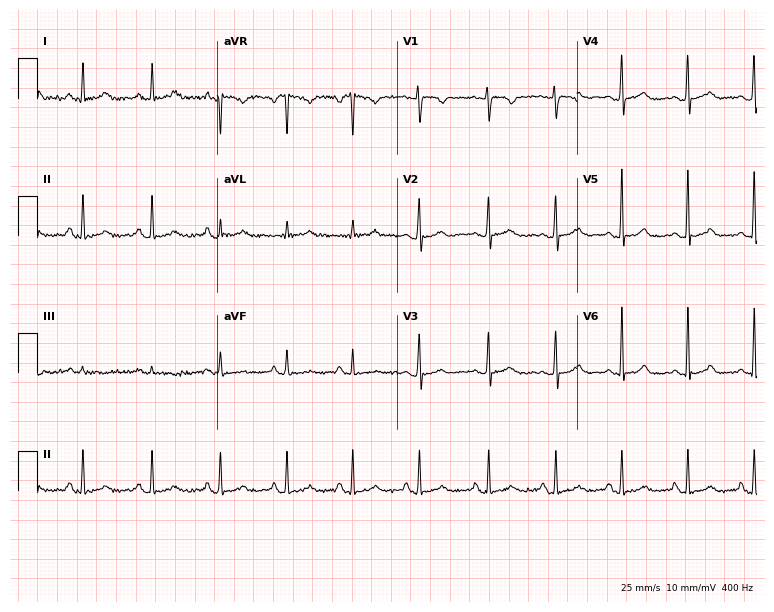
12-lead ECG (7.3-second recording at 400 Hz) from a female patient, 29 years old. Labelled as a normal ECG.